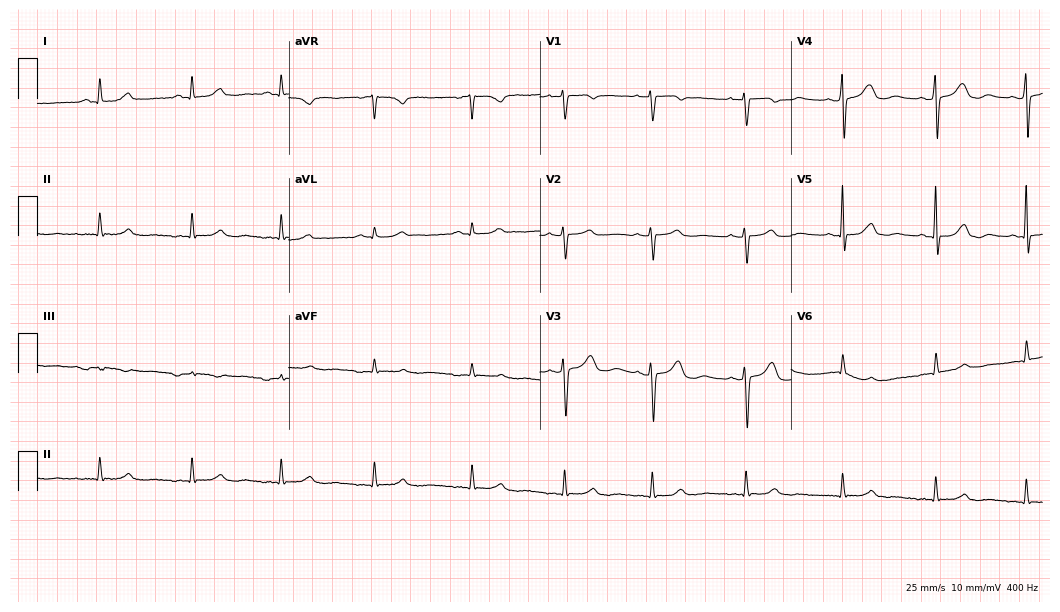
Electrocardiogram (10.2-second recording at 400 Hz), a 48-year-old female patient. Of the six screened findings (first-degree AV block, right bundle branch block (RBBB), left bundle branch block (LBBB), sinus bradycardia, atrial fibrillation (AF), sinus tachycardia), none is recorded.